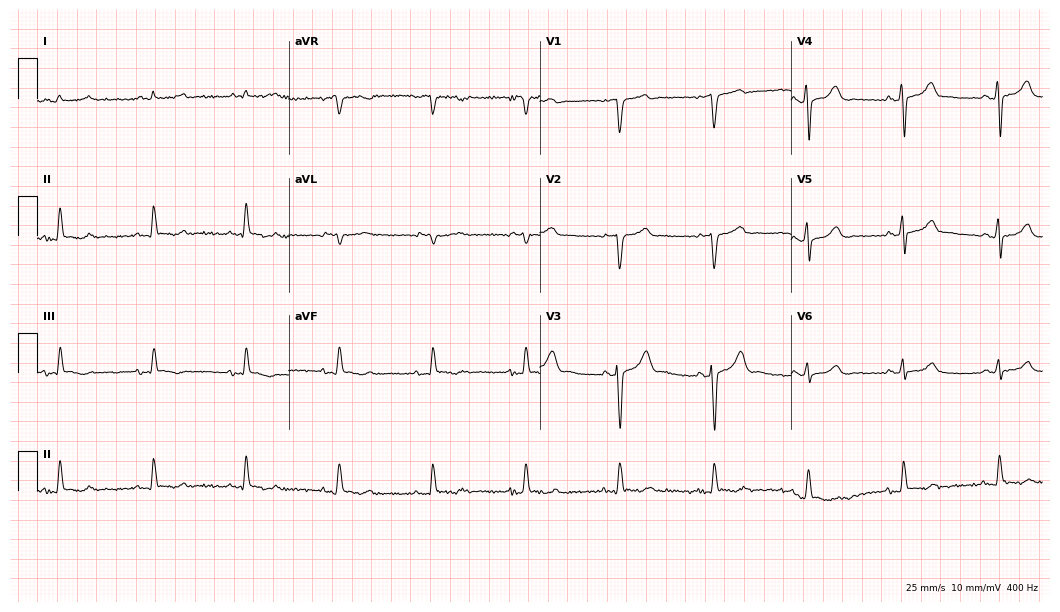
12-lead ECG from an 83-year-old male (10.2-second recording at 400 Hz). No first-degree AV block, right bundle branch block (RBBB), left bundle branch block (LBBB), sinus bradycardia, atrial fibrillation (AF) or sinus tachycardia recorded for this tracing.